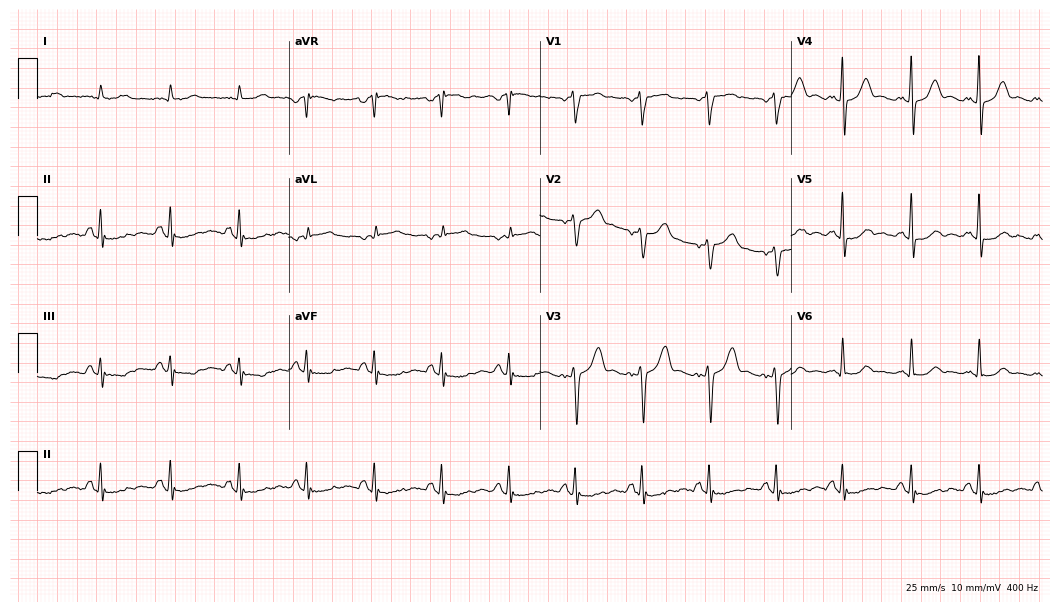
12-lead ECG (10.2-second recording at 400 Hz) from a male patient, 74 years old. Screened for six findings — first-degree AV block, right bundle branch block (RBBB), left bundle branch block (LBBB), sinus bradycardia, atrial fibrillation (AF), sinus tachycardia — none is recorded.